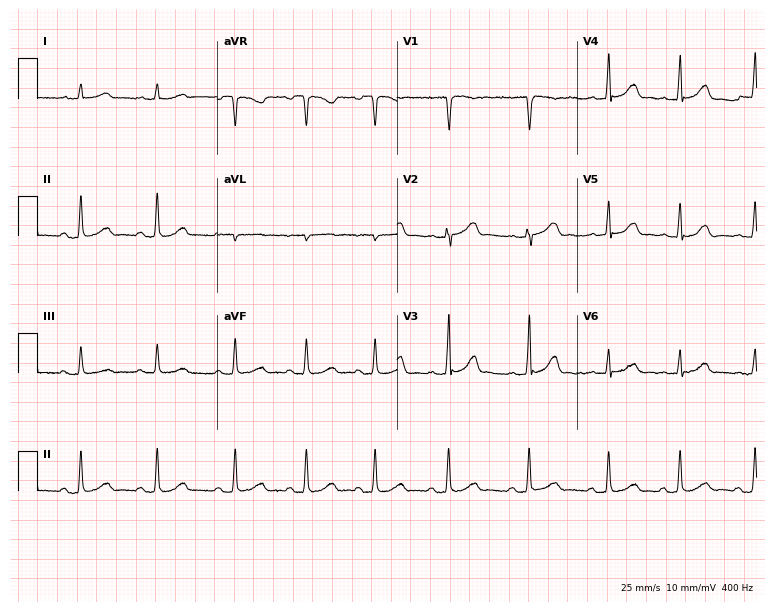
Standard 12-lead ECG recorded from a 22-year-old female. Read as a normal ECG.